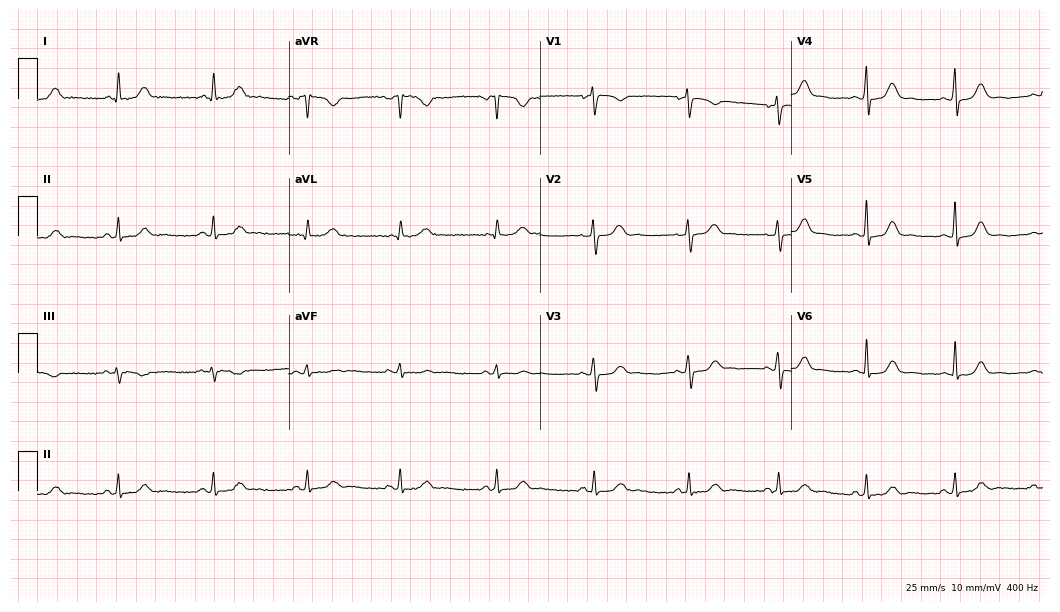
12-lead ECG from a female, 46 years old (10.2-second recording at 400 Hz). Recorded interpretation: within normal limits.